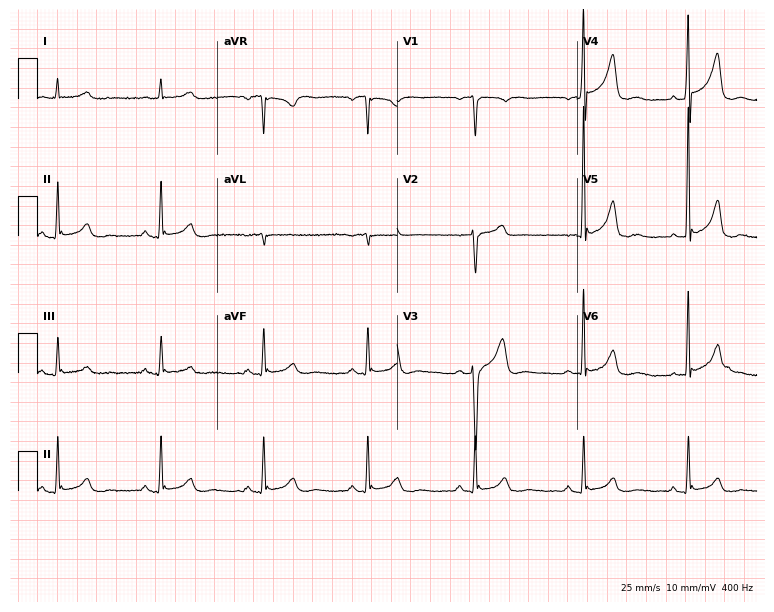
12-lead ECG from a 52-year-old male patient. Screened for six findings — first-degree AV block, right bundle branch block, left bundle branch block, sinus bradycardia, atrial fibrillation, sinus tachycardia — none is recorded.